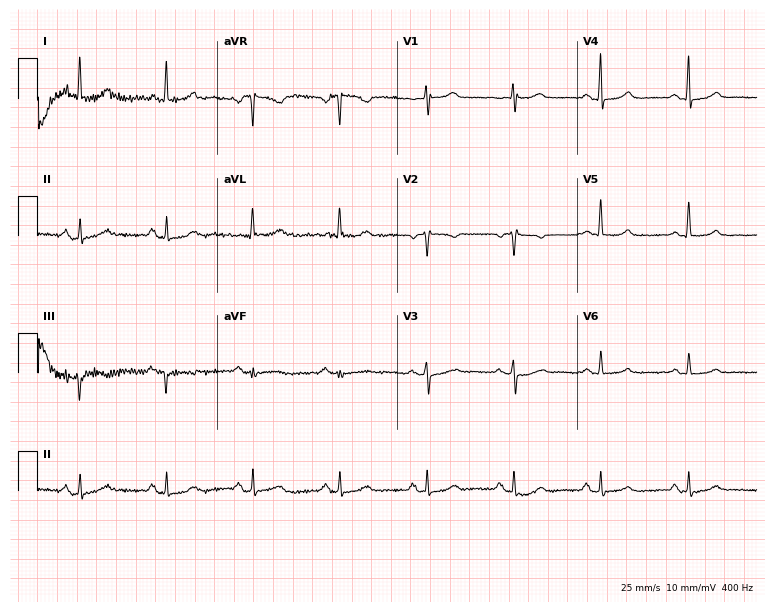
Resting 12-lead electrocardiogram (7.3-second recording at 400 Hz). Patient: a 68-year-old female. None of these six findings is recorded: first-degree AV block, right bundle branch block, left bundle branch block, sinus bradycardia, atrial fibrillation, sinus tachycardia. Other findings, if any, are not listed.